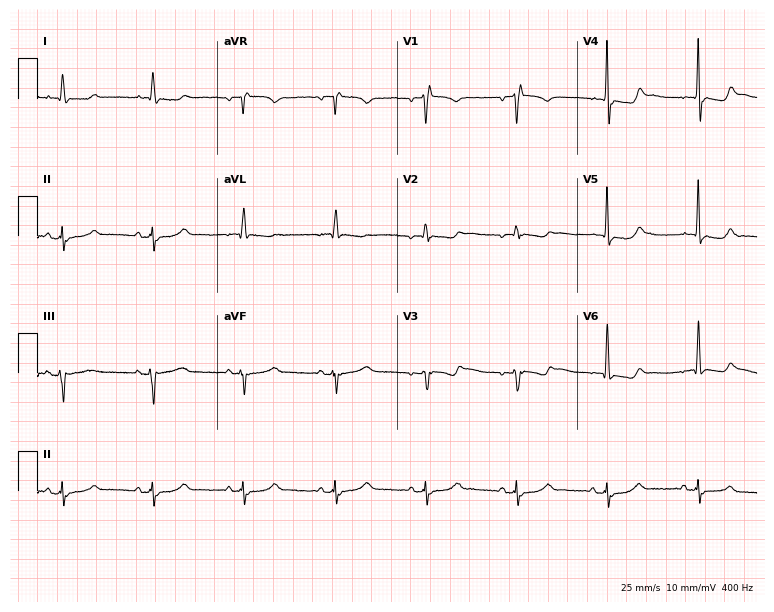
12-lead ECG (7.3-second recording at 400 Hz) from an 84-year-old female. Screened for six findings — first-degree AV block, right bundle branch block, left bundle branch block, sinus bradycardia, atrial fibrillation, sinus tachycardia — none is recorded.